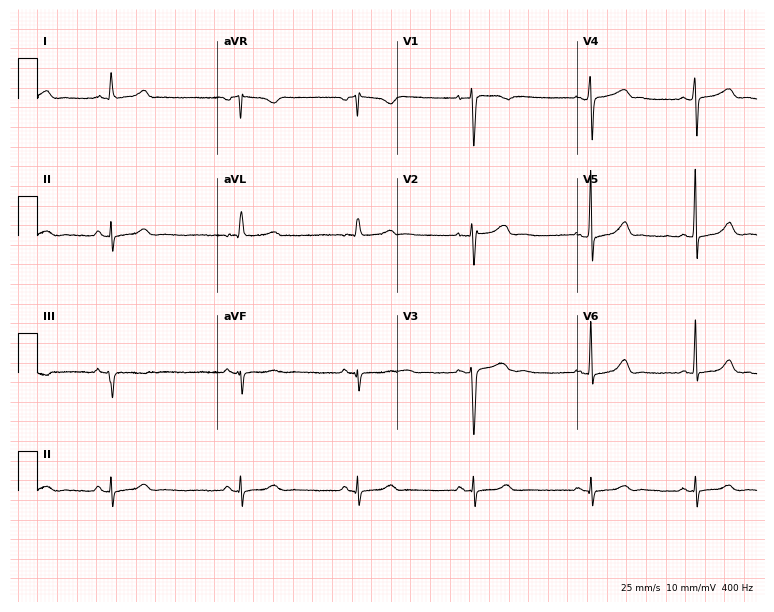
Electrocardiogram (7.3-second recording at 400 Hz), a 28-year-old female patient. Overall reading on record: normal ECG.